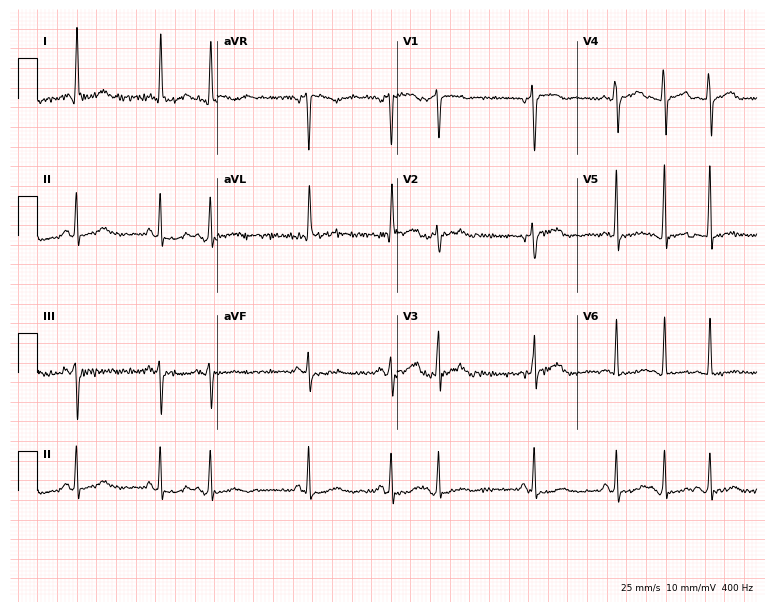
12-lead ECG from a male, 85 years old. Labelled as a normal ECG.